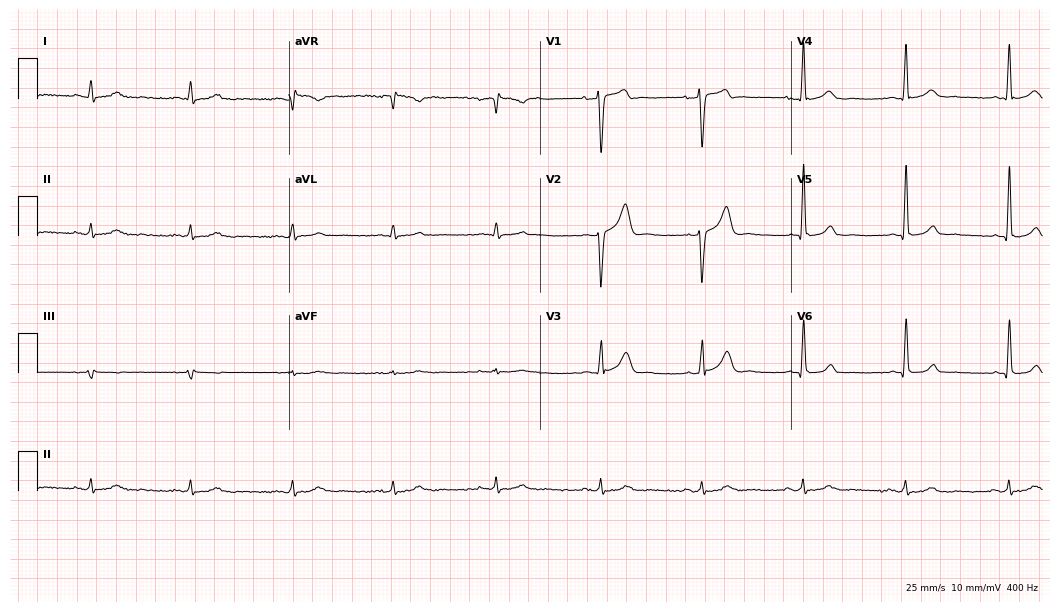
Resting 12-lead electrocardiogram (10.2-second recording at 400 Hz). Patient: a male, 55 years old. None of these six findings is recorded: first-degree AV block, right bundle branch block (RBBB), left bundle branch block (LBBB), sinus bradycardia, atrial fibrillation (AF), sinus tachycardia.